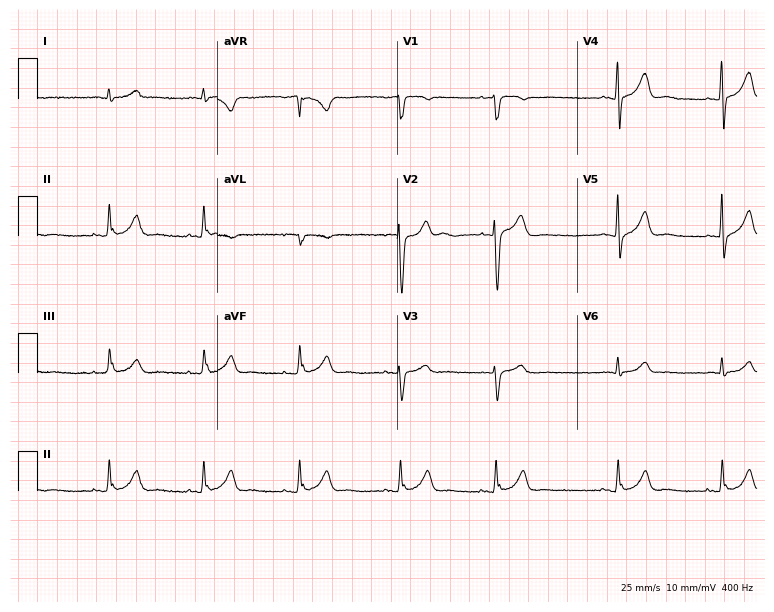
12-lead ECG (7.3-second recording at 400 Hz) from a man, 54 years old. Labelled as a normal ECG.